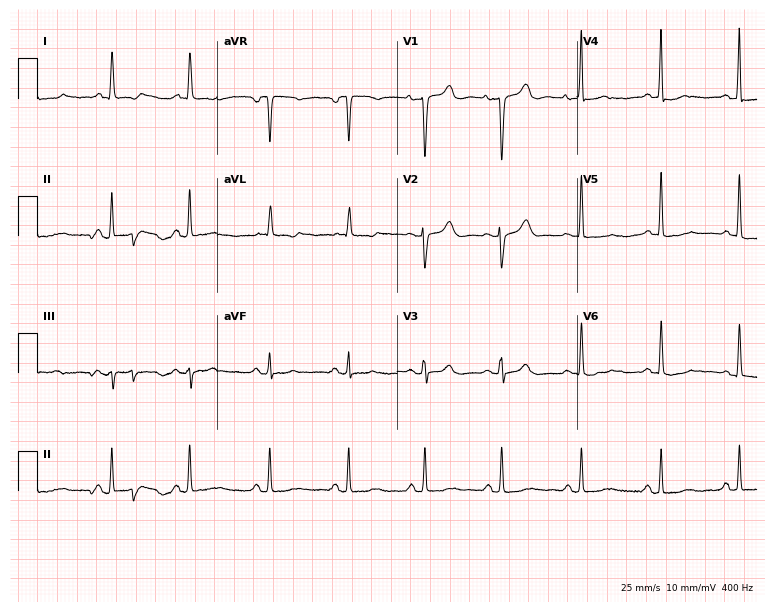
12-lead ECG (7.3-second recording at 400 Hz) from a female patient, 74 years old. Screened for six findings — first-degree AV block, right bundle branch block, left bundle branch block, sinus bradycardia, atrial fibrillation, sinus tachycardia — none is recorded. Other findings, if any, are not listed.